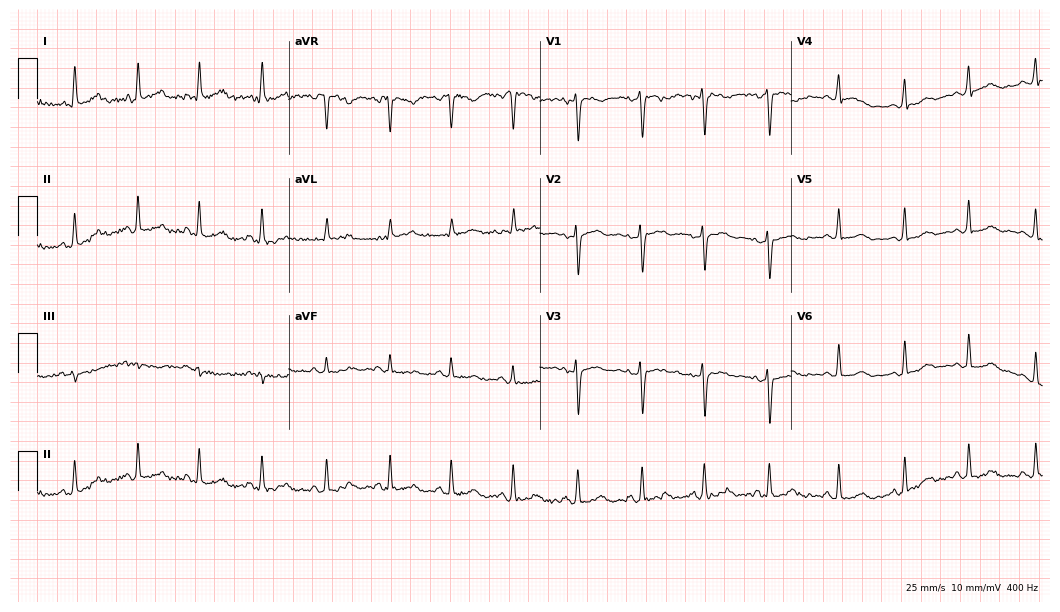
ECG (10.2-second recording at 400 Hz) — a woman, 27 years old. Labelled as a normal ECG.